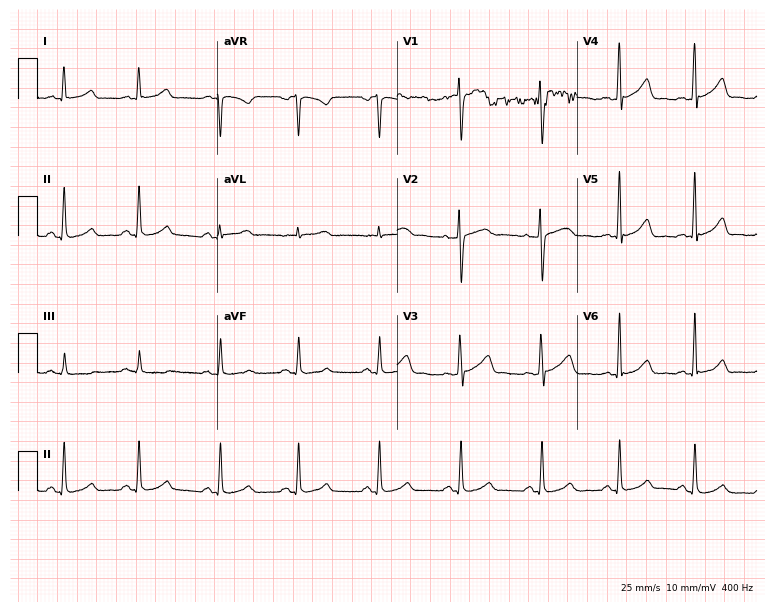
Standard 12-lead ECG recorded from a 38-year-old female patient (7.3-second recording at 400 Hz). Read as a normal ECG.